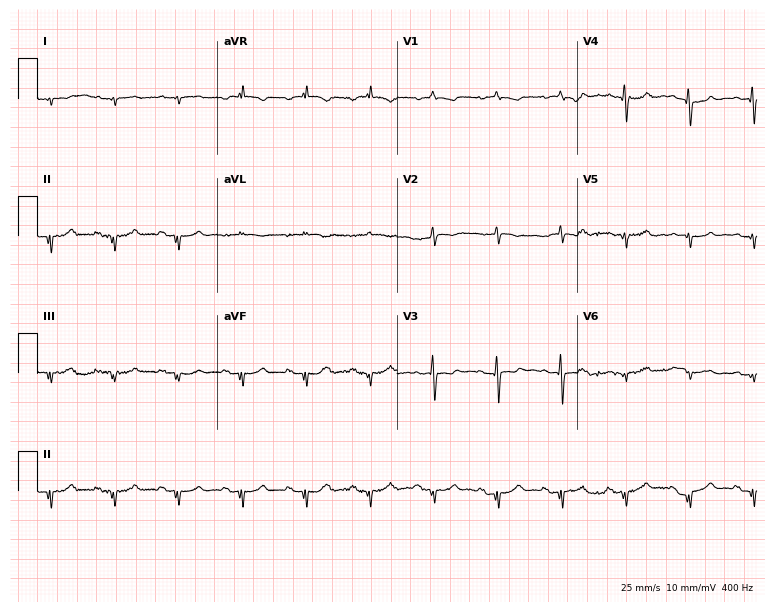
Resting 12-lead electrocardiogram. Patient: a male, 70 years old. None of these six findings is recorded: first-degree AV block, right bundle branch block (RBBB), left bundle branch block (LBBB), sinus bradycardia, atrial fibrillation (AF), sinus tachycardia.